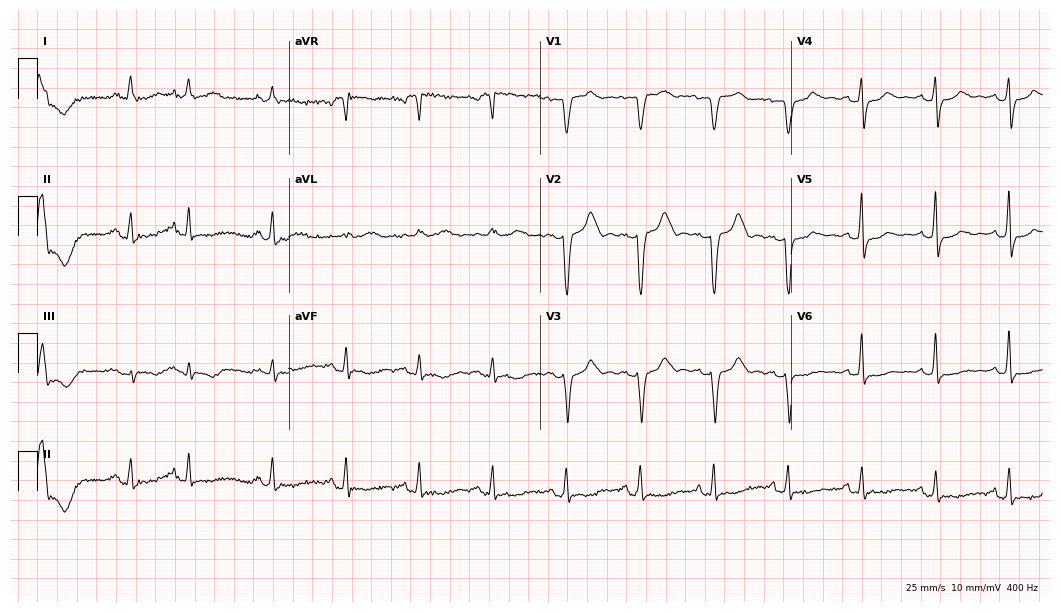
12-lead ECG from an 81-year-old female (10.2-second recording at 400 Hz). No first-degree AV block, right bundle branch block, left bundle branch block, sinus bradycardia, atrial fibrillation or sinus tachycardia recorded for this tracing.